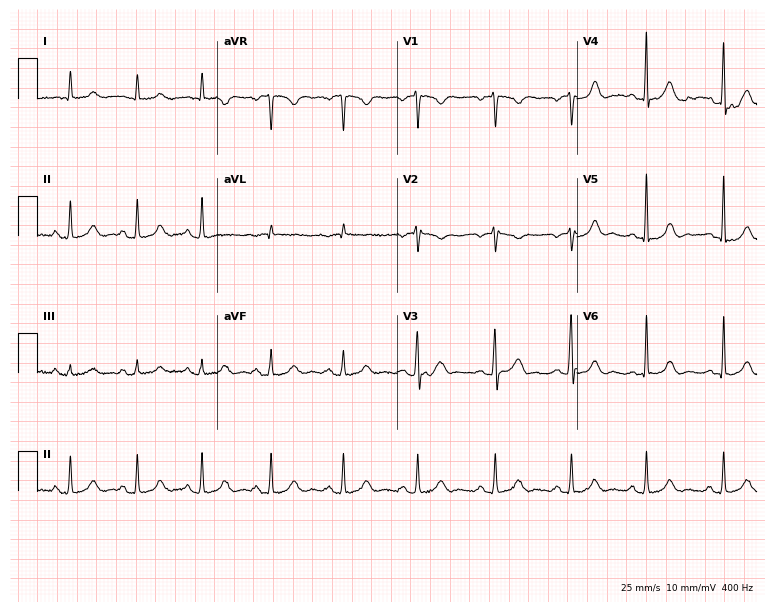
Resting 12-lead electrocardiogram (7.3-second recording at 400 Hz). Patient: a 33-year-old woman. Read as a normal ECG.